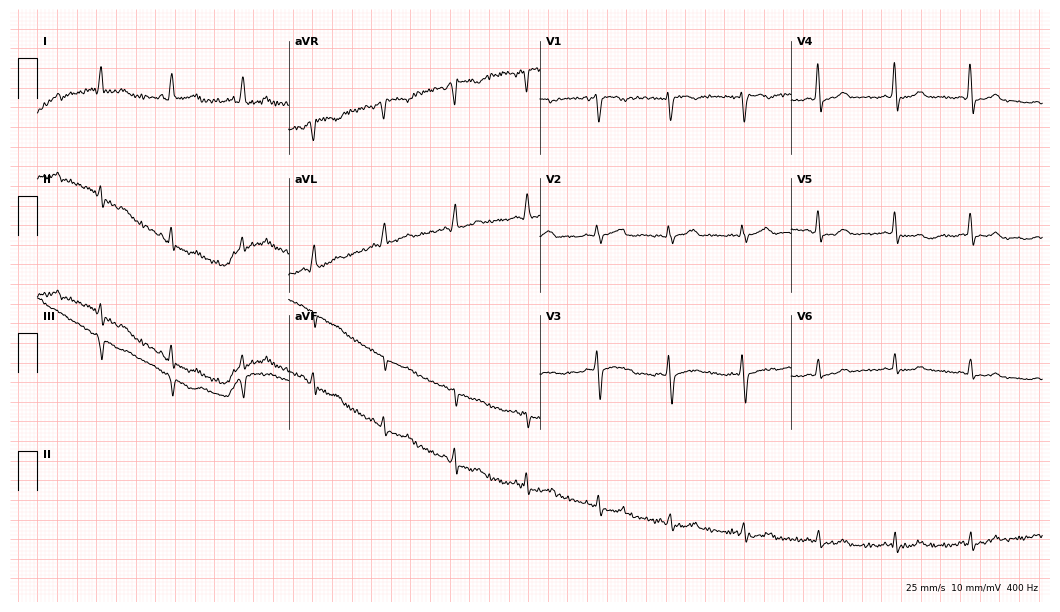
Resting 12-lead electrocardiogram (10.2-second recording at 400 Hz). Patient: a 48-year-old female. Read as a normal ECG.